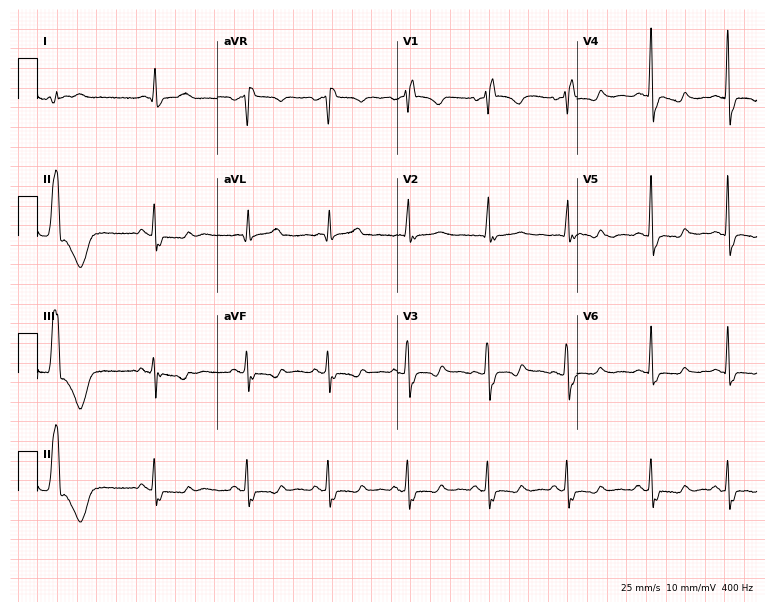
ECG (7.3-second recording at 400 Hz) — a woman, 60 years old. Findings include right bundle branch block.